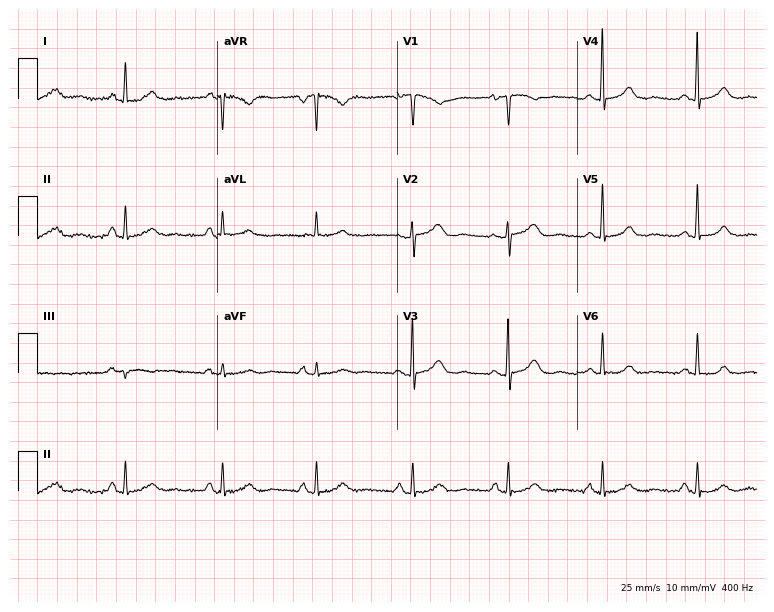
Electrocardiogram (7.3-second recording at 400 Hz), a female, 75 years old. Of the six screened findings (first-degree AV block, right bundle branch block, left bundle branch block, sinus bradycardia, atrial fibrillation, sinus tachycardia), none is recorded.